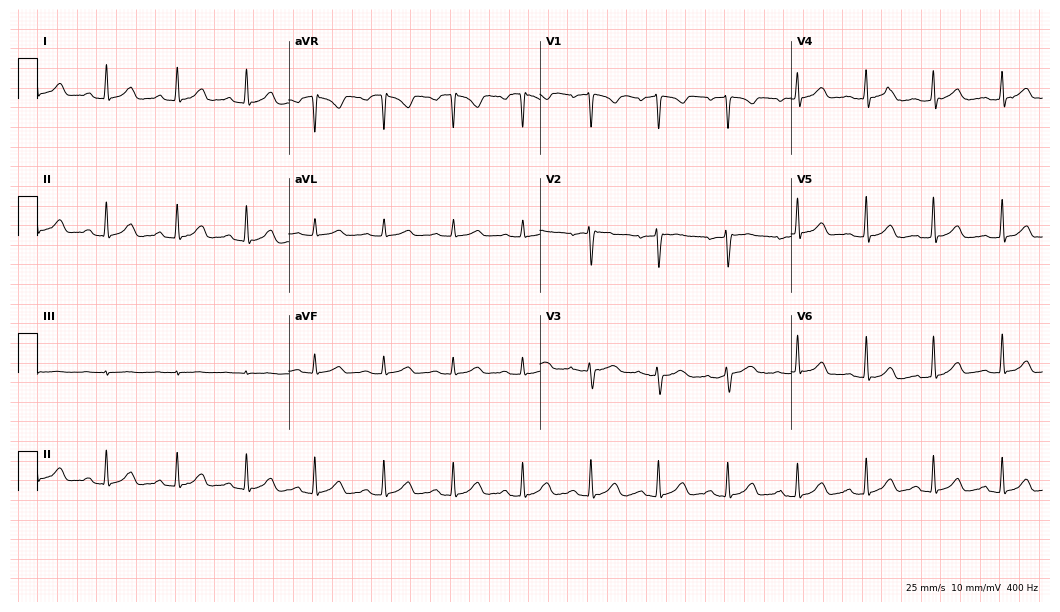
12-lead ECG from a 42-year-old female patient (10.2-second recording at 400 Hz). Recorded interpretation: within normal limits.